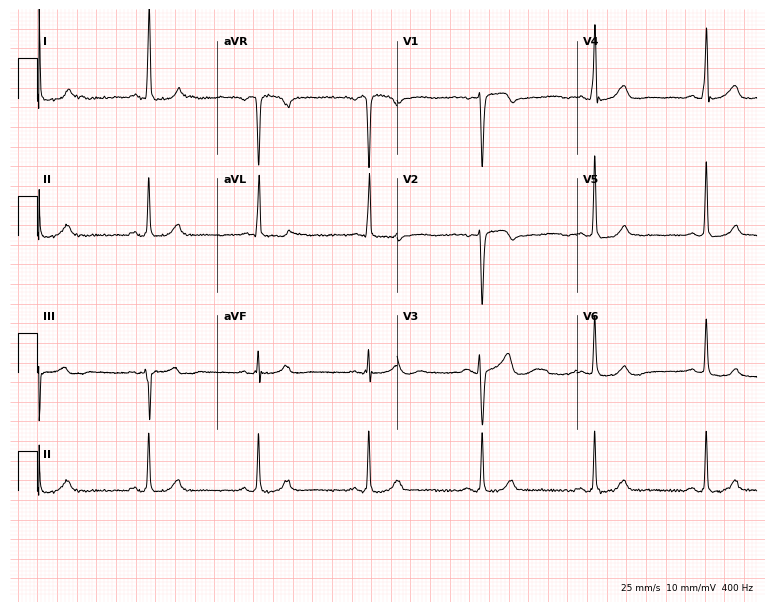
Standard 12-lead ECG recorded from a woman, 56 years old. None of these six findings is recorded: first-degree AV block, right bundle branch block (RBBB), left bundle branch block (LBBB), sinus bradycardia, atrial fibrillation (AF), sinus tachycardia.